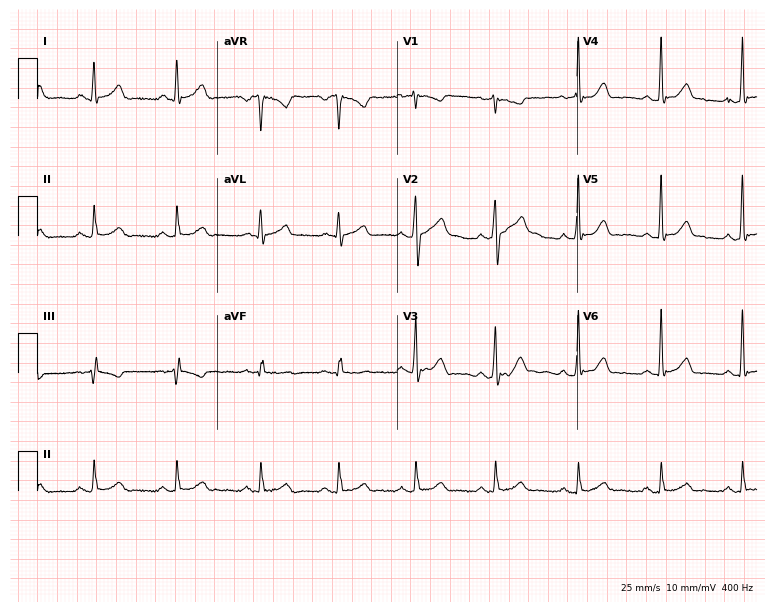
Standard 12-lead ECG recorded from a man, 32 years old. None of these six findings is recorded: first-degree AV block, right bundle branch block (RBBB), left bundle branch block (LBBB), sinus bradycardia, atrial fibrillation (AF), sinus tachycardia.